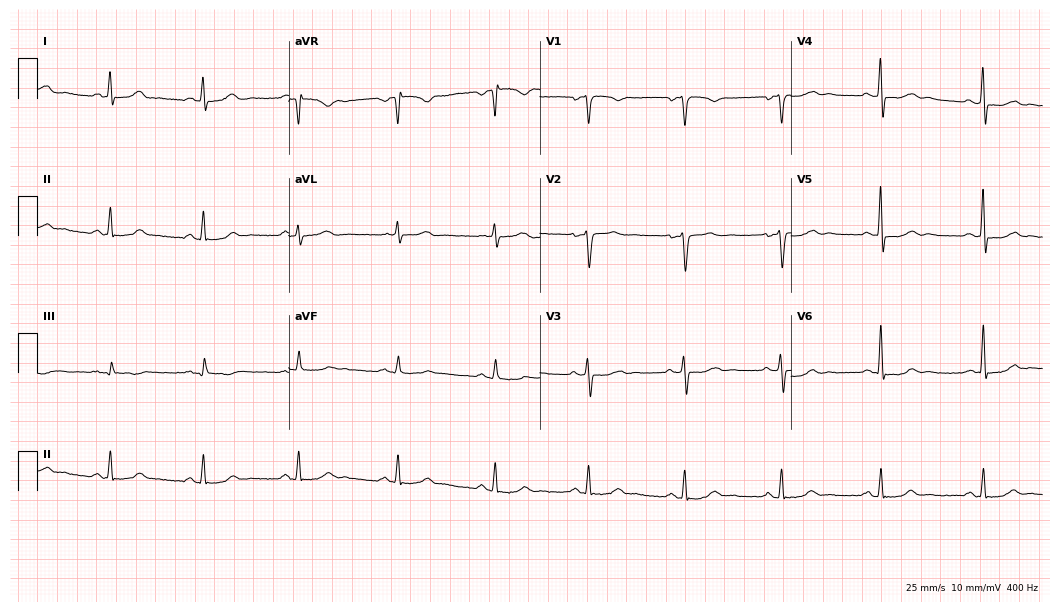
12-lead ECG from a female, 44 years old (10.2-second recording at 400 Hz). No first-degree AV block, right bundle branch block (RBBB), left bundle branch block (LBBB), sinus bradycardia, atrial fibrillation (AF) or sinus tachycardia recorded for this tracing. Only these six findings were labelled.